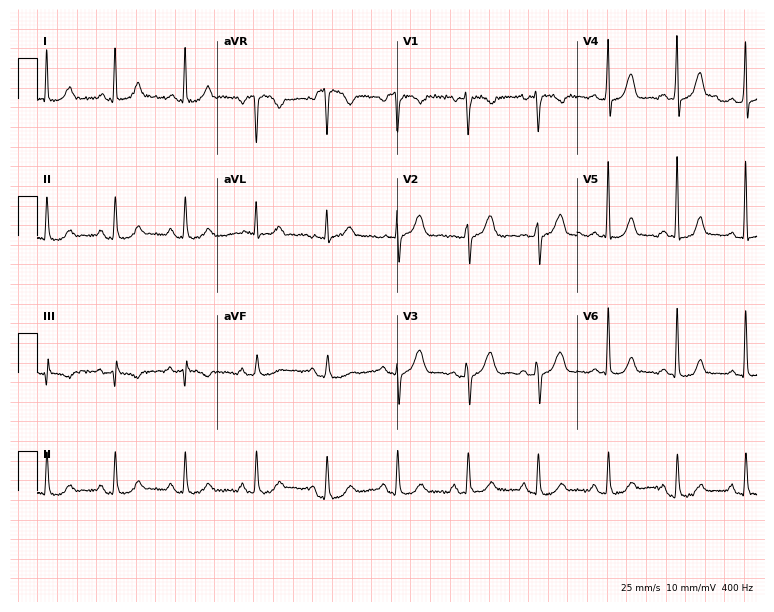
ECG (7.3-second recording at 400 Hz) — a female, 43 years old. Labelled as a normal ECG.